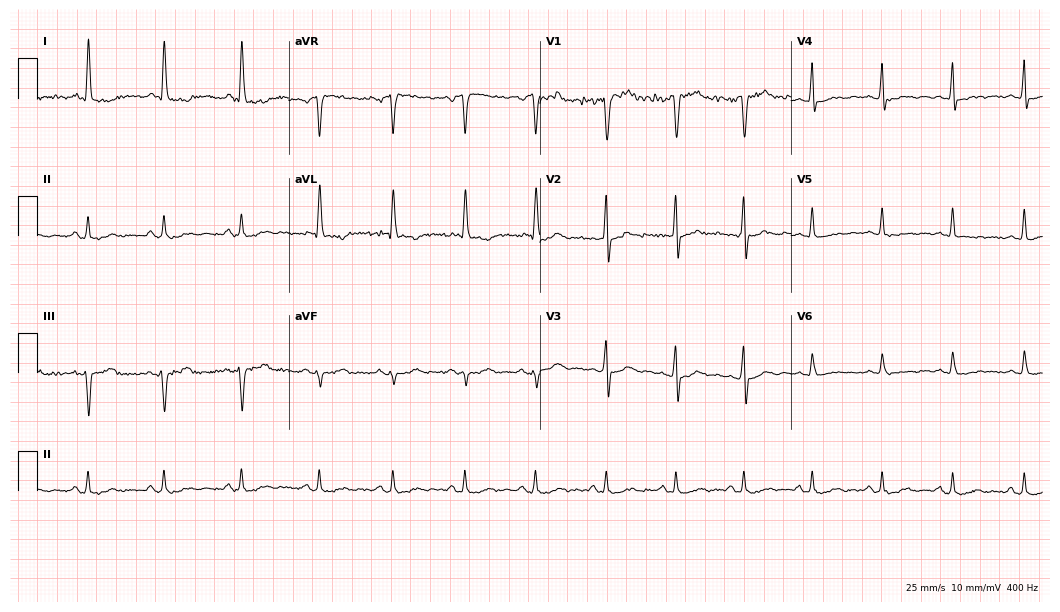
Resting 12-lead electrocardiogram (10.2-second recording at 400 Hz). Patient: a man, 42 years old. None of these six findings is recorded: first-degree AV block, right bundle branch block, left bundle branch block, sinus bradycardia, atrial fibrillation, sinus tachycardia.